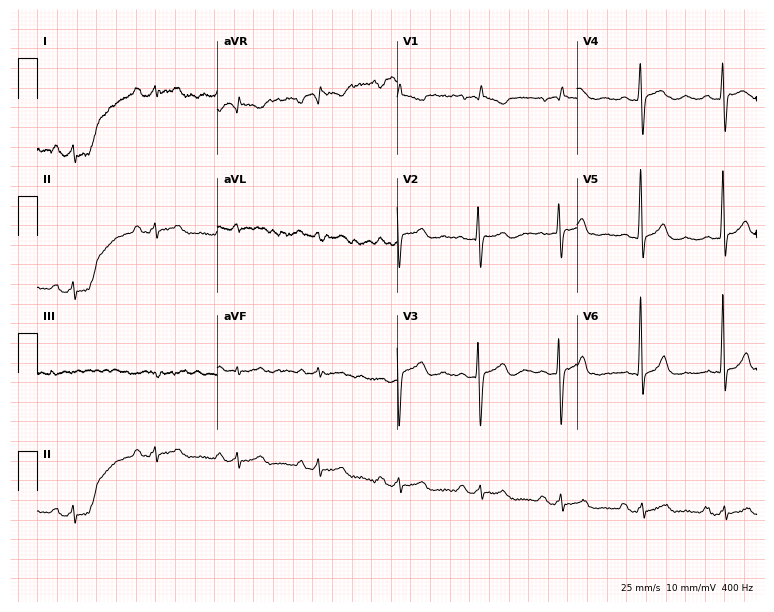
Standard 12-lead ECG recorded from a male patient, 44 years old. None of these six findings is recorded: first-degree AV block, right bundle branch block (RBBB), left bundle branch block (LBBB), sinus bradycardia, atrial fibrillation (AF), sinus tachycardia.